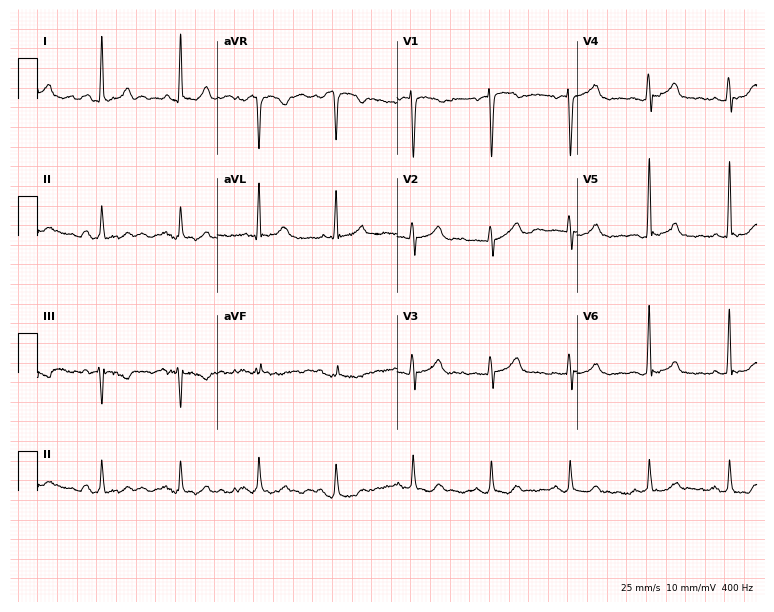
ECG — a 65-year-old female. Labelled as a normal ECG.